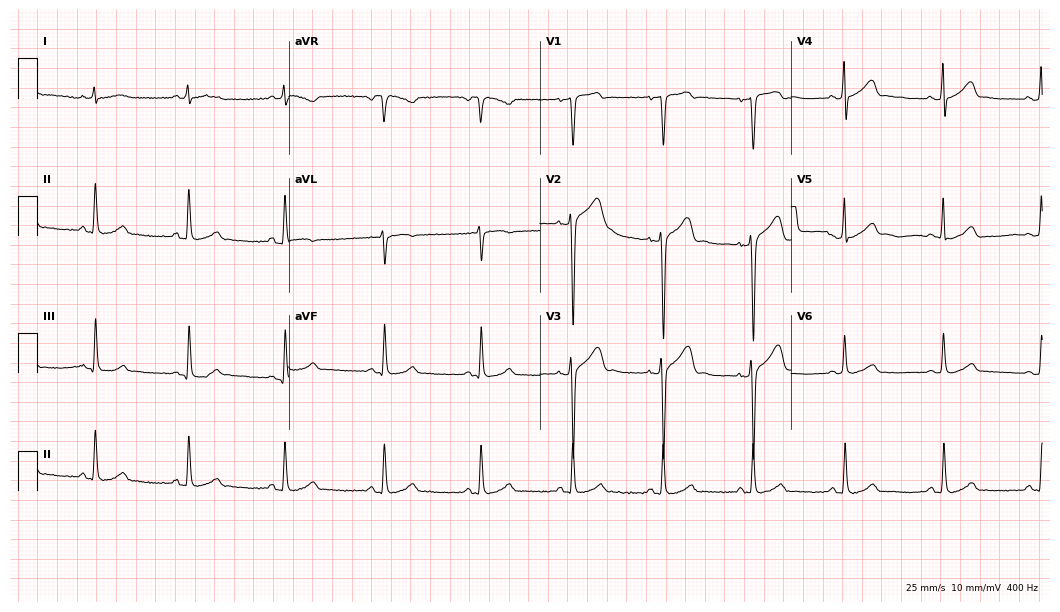
Standard 12-lead ECG recorded from a 50-year-old male. Read as a normal ECG.